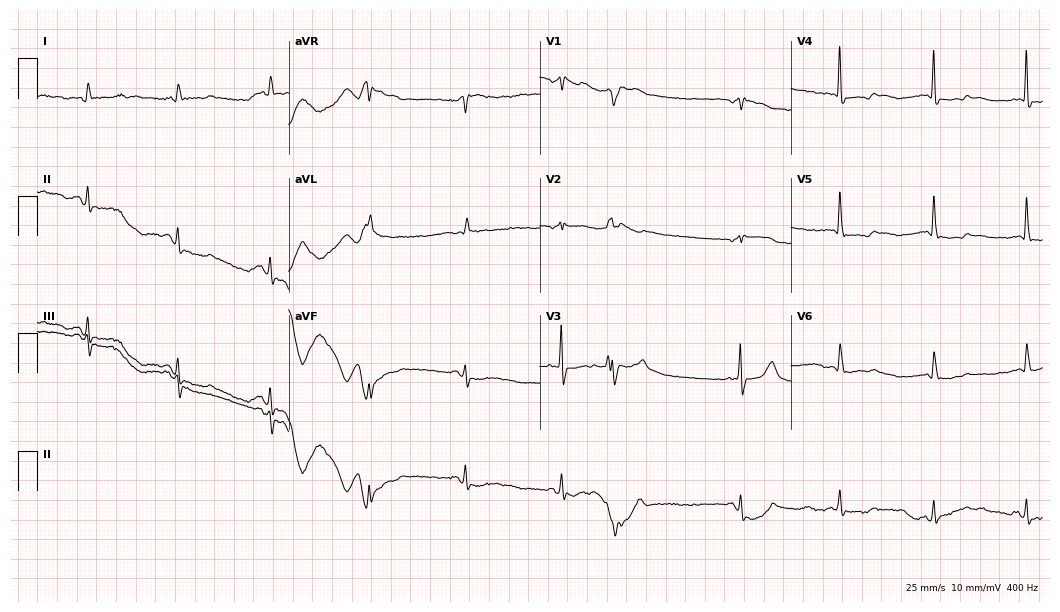
Standard 12-lead ECG recorded from a male, 79 years old. None of these six findings is recorded: first-degree AV block, right bundle branch block, left bundle branch block, sinus bradycardia, atrial fibrillation, sinus tachycardia. Findings outside these six are not listed.